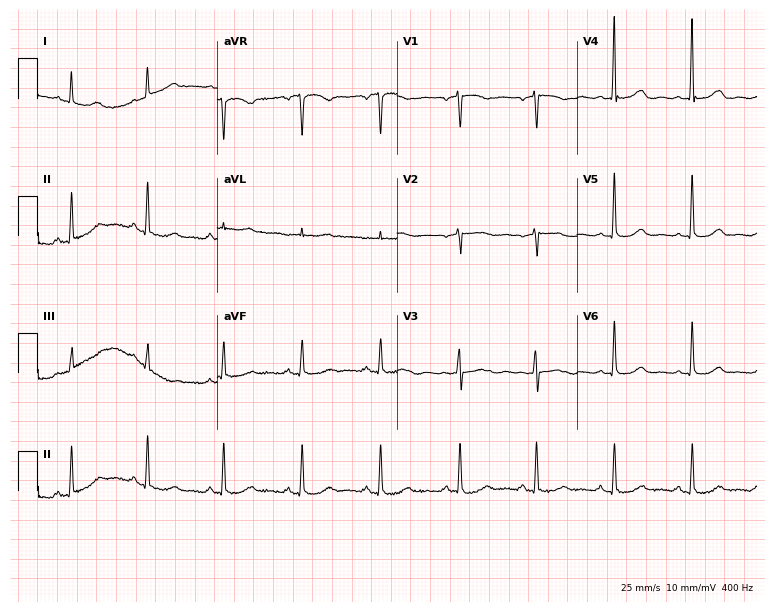
12-lead ECG from a woman, 70 years old. Recorded interpretation: within normal limits.